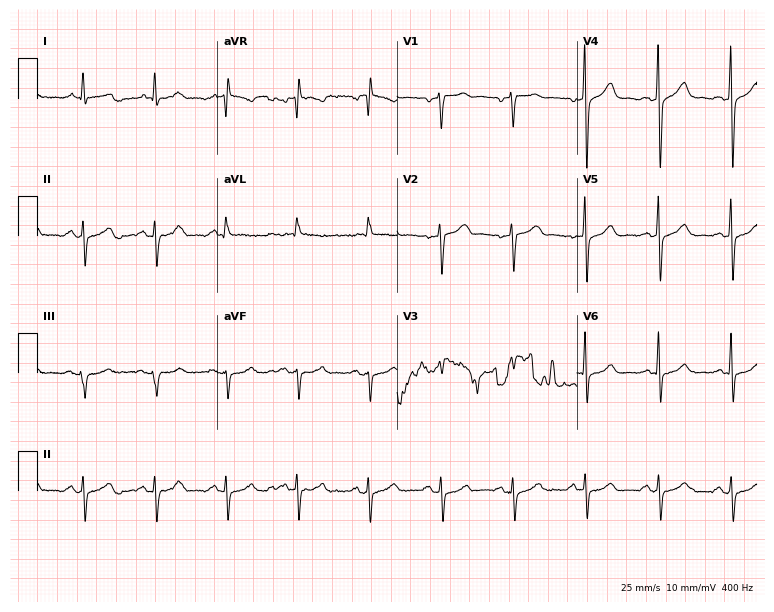
Standard 12-lead ECG recorded from a 55-year-old man (7.3-second recording at 400 Hz). None of these six findings is recorded: first-degree AV block, right bundle branch block, left bundle branch block, sinus bradycardia, atrial fibrillation, sinus tachycardia.